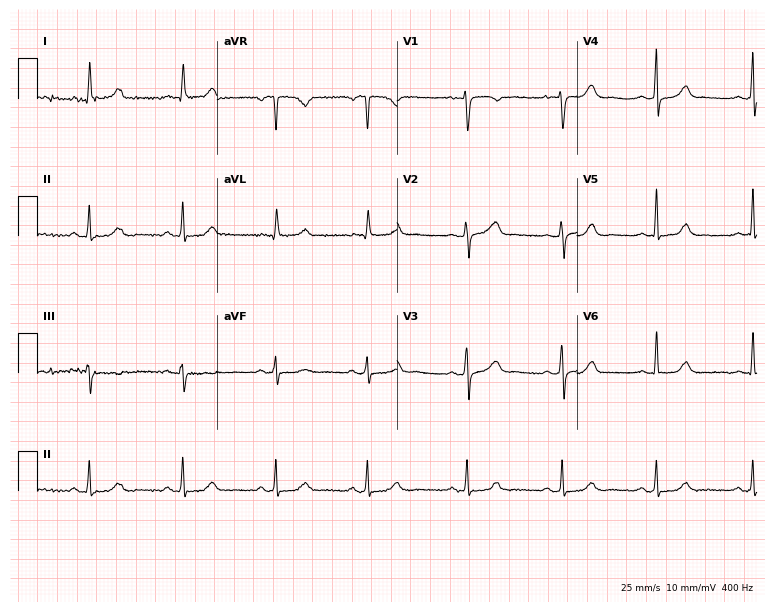
Resting 12-lead electrocardiogram (7.3-second recording at 400 Hz). Patient: a female, 39 years old. Read as a normal ECG.